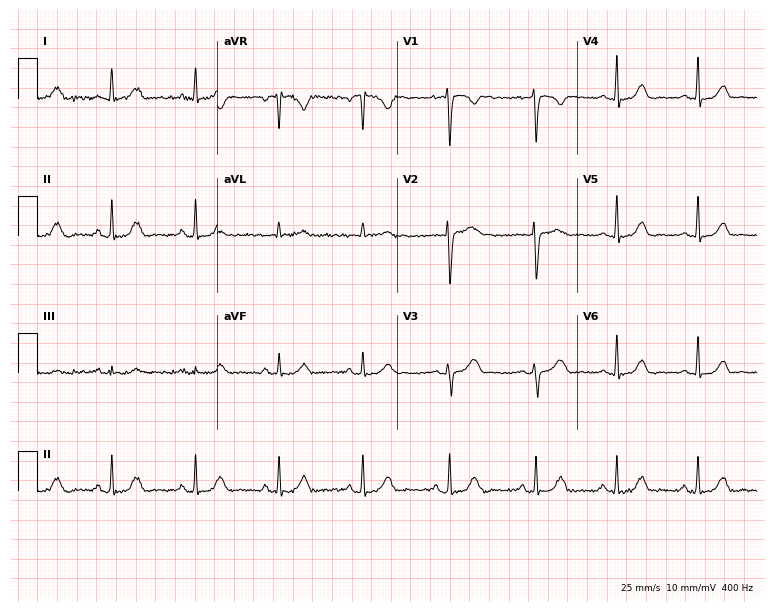
Standard 12-lead ECG recorded from a 41-year-old woman. Read as a normal ECG.